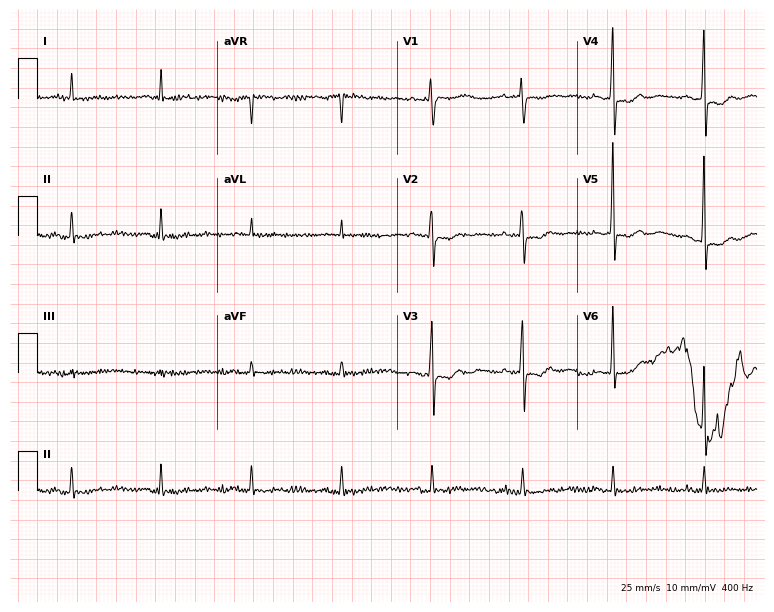
ECG (7.3-second recording at 400 Hz) — a female patient, 71 years old. Screened for six findings — first-degree AV block, right bundle branch block, left bundle branch block, sinus bradycardia, atrial fibrillation, sinus tachycardia — none is recorded. Findings outside these six are not listed.